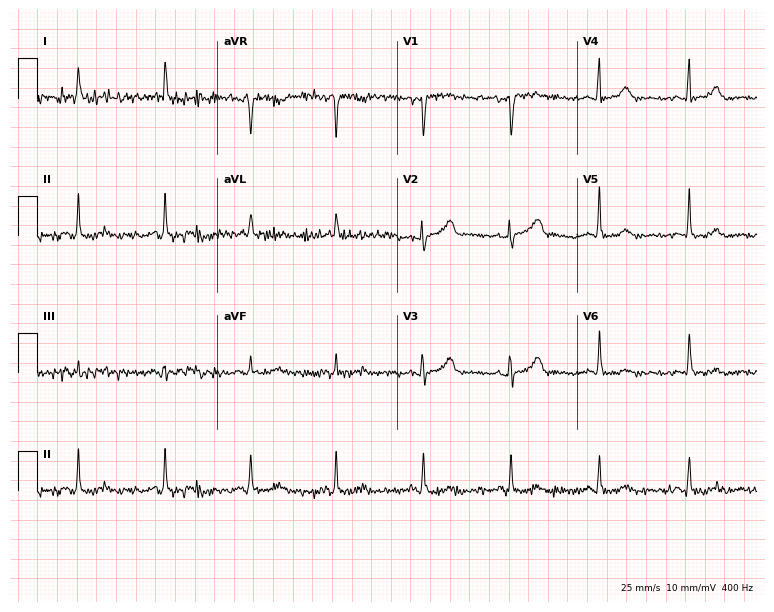
12-lead ECG from a female patient, 80 years old. No first-degree AV block, right bundle branch block, left bundle branch block, sinus bradycardia, atrial fibrillation or sinus tachycardia recorded for this tracing. Findings outside these six are not listed.